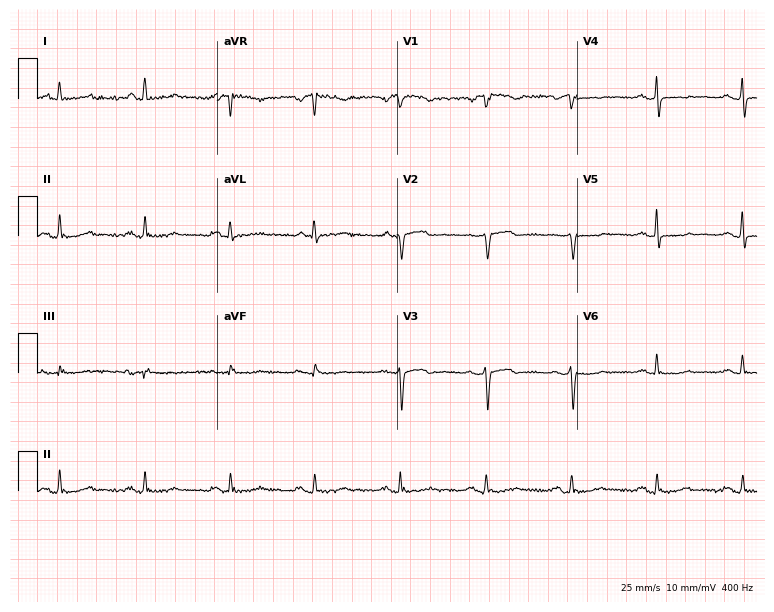
Electrocardiogram (7.3-second recording at 400 Hz), a 58-year-old female. Of the six screened findings (first-degree AV block, right bundle branch block, left bundle branch block, sinus bradycardia, atrial fibrillation, sinus tachycardia), none is recorded. Only these six findings were labelled.